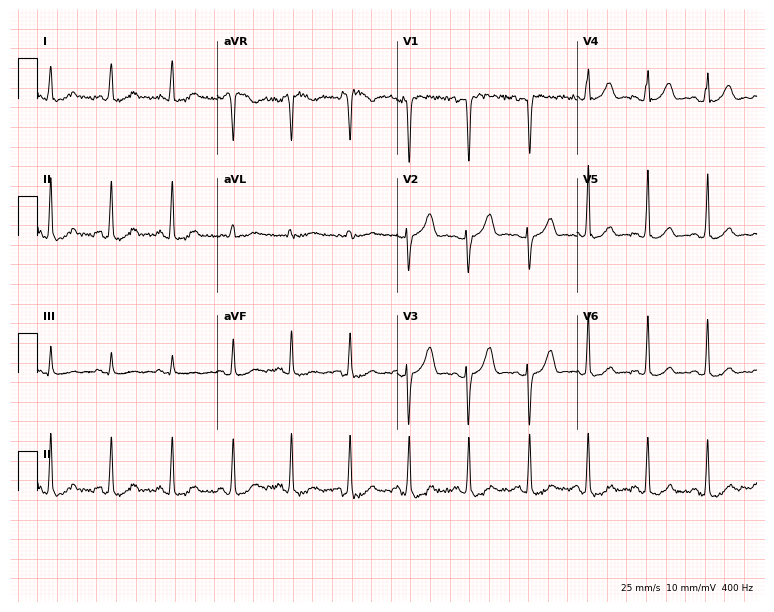
Resting 12-lead electrocardiogram. Patient: a 26-year-old female. None of these six findings is recorded: first-degree AV block, right bundle branch block, left bundle branch block, sinus bradycardia, atrial fibrillation, sinus tachycardia. Only these six findings were labelled.